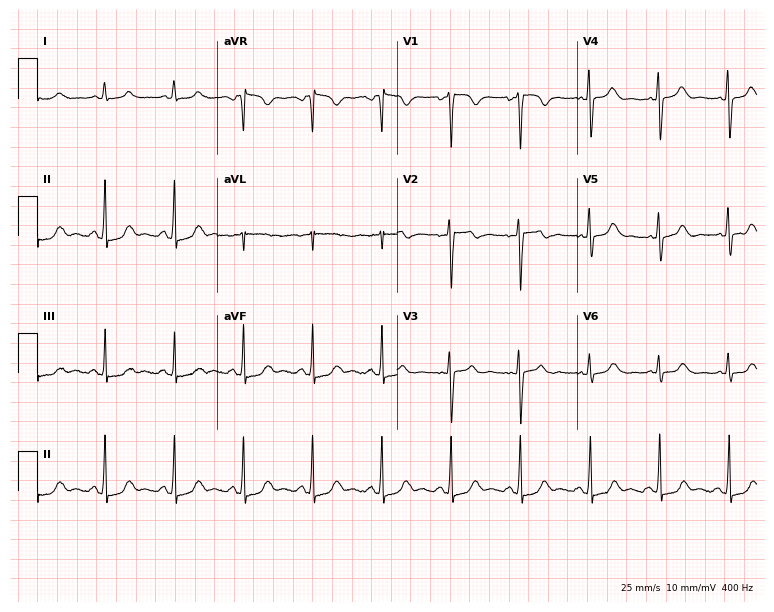
Electrocardiogram, a 35-year-old woman. Of the six screened findings (first-degree AV block, right bundle branch block, left bundle branch block, sinus bradycardia, atrial fibrillation, sinus tachycardia), none is recorded.